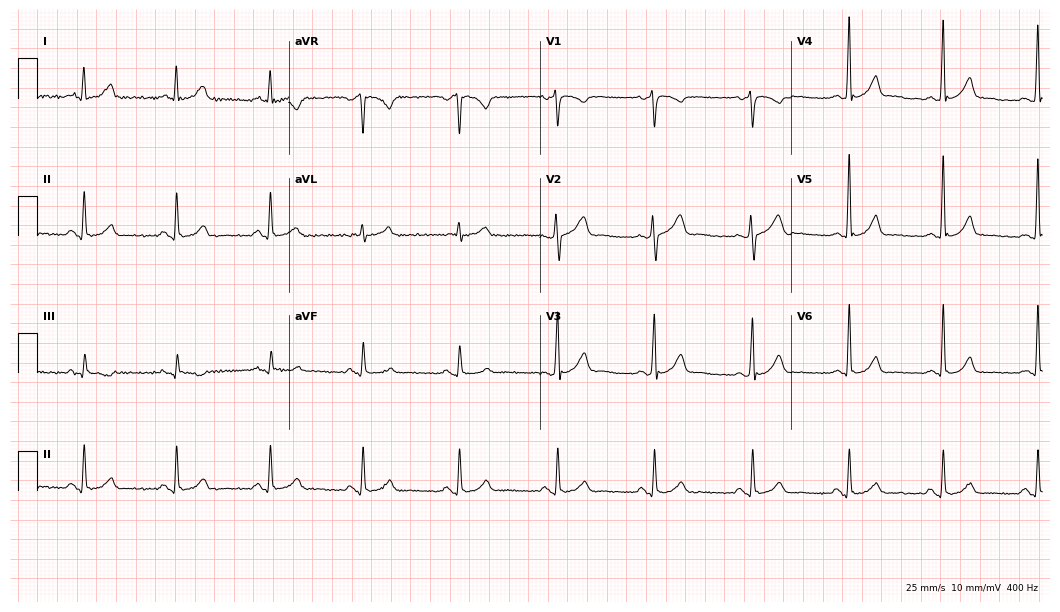
Standard 12-lead ECG recorded from a 20-year-old male (10.2-second recording at 400 Hz). None of these six findings is recorded: first-degree AV block, right bundle branch block, left bundle branch block, sinus bradycardia, atrial fibrillation, sinus tachycardia.